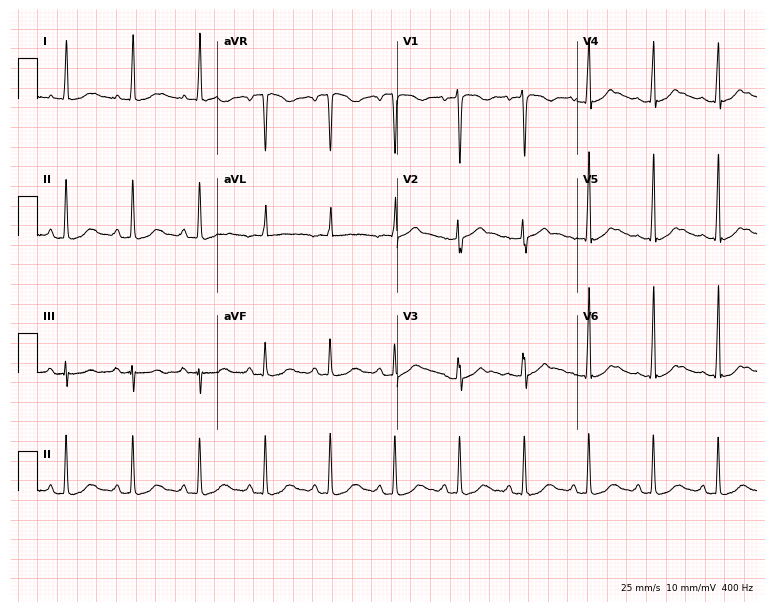
Electrocardiogram (7.3-second recording at 400 Hz), a 39-year-old woman. Overall reading on record: normal ECG.